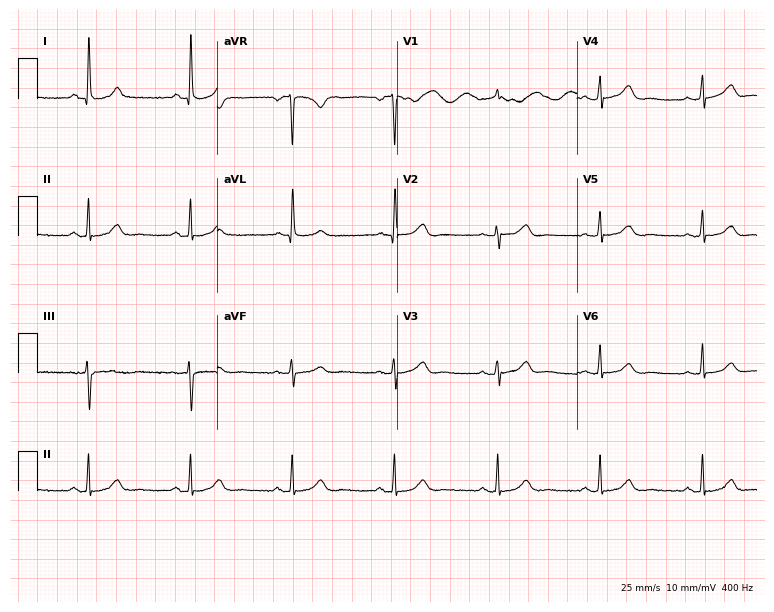
Electrocardiogram (7.3-second recording at 400 Hz), a female, 39 years old. Overall reading on record: normal ECG.